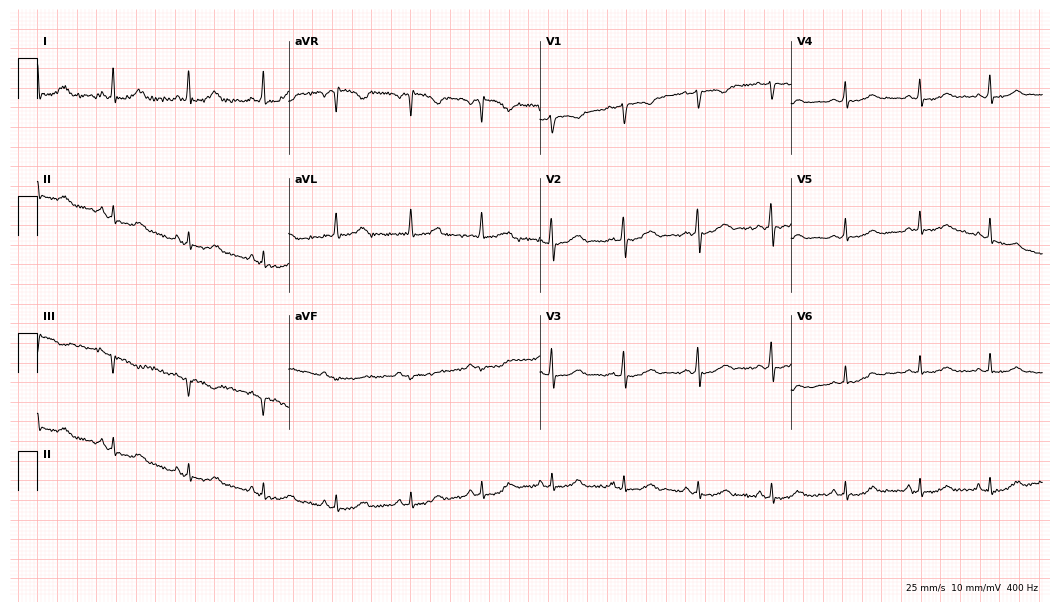
12-lead ECG from a 48-year-old female. Labelled as a normal ECG.